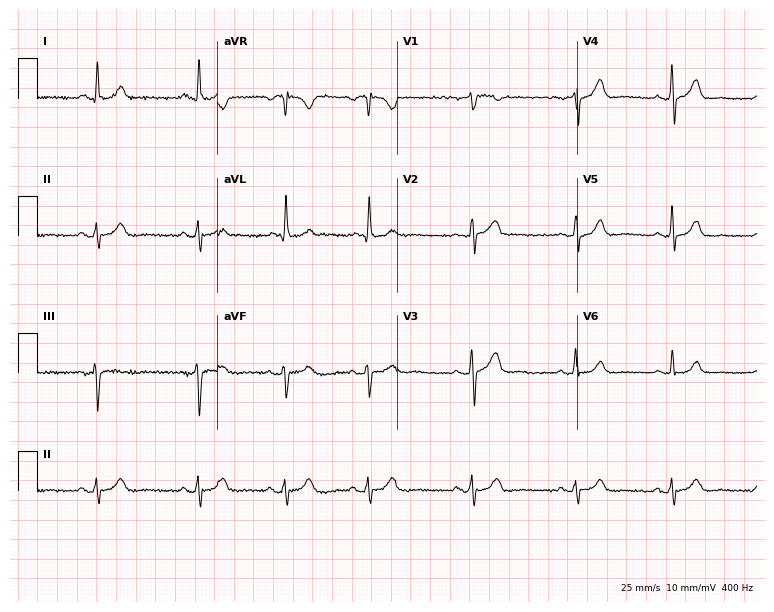
Electrocardiogram (7.3-second recording at 400 Hz), a 60-year-old female patient. Of the six screened findings (first-degree AV block, right bundle branch block (RBBB), left bundle branch block (LBBB), sinus bradycardia, atrial fibrillation (AF), sinus tachycardia), none is recorded. Findings outside these six are not listed.